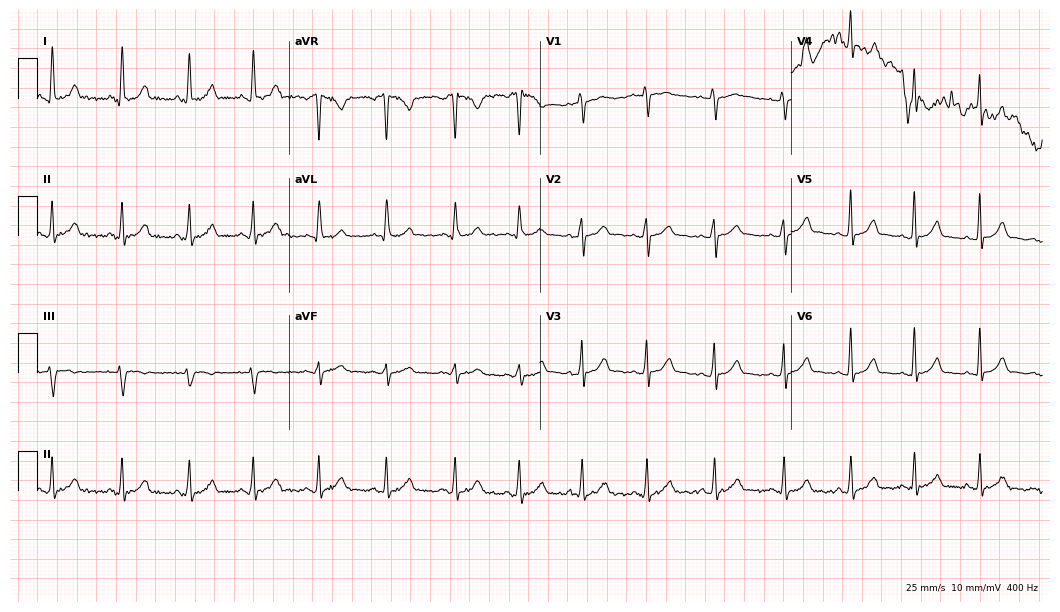
12-lead ECG from a male, 27 years old (10.2-second recording at 400 Hz). No first-degree AV block, right bundle branch block, left bundle branch block, sinus bradycardia, atrial fibrillation or sinus tachycardia recorded for this tracing. Findings outside these six are not listed.